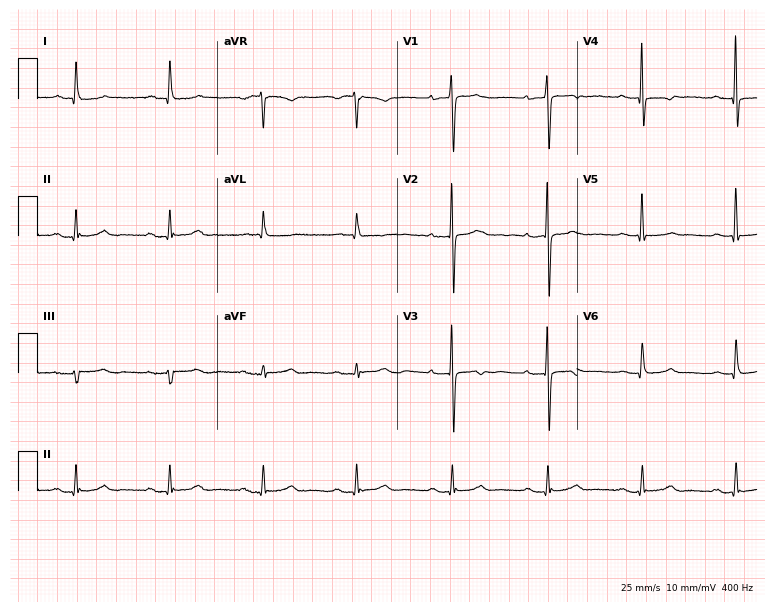
ECG — an 84-year-old woman. Screened for six findings — first-degree AV block, right bundle branch block, left bundle branch block, sinus bradycardia, atrial fibrillation, sinus tachycardia — none is recorded. Only these six findings were labelled.